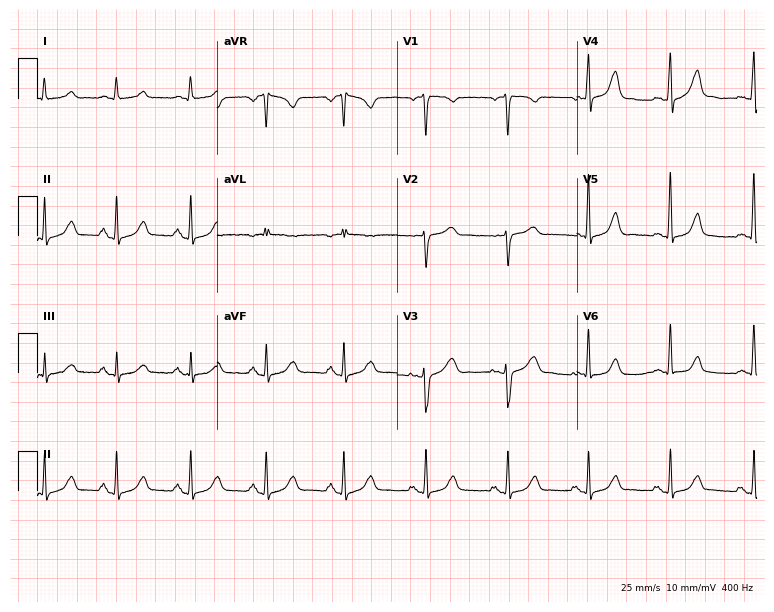
ECG (7.3-second recording at 400 Hz) — a 53-year-old female patient. Labelled as a normal ECG.